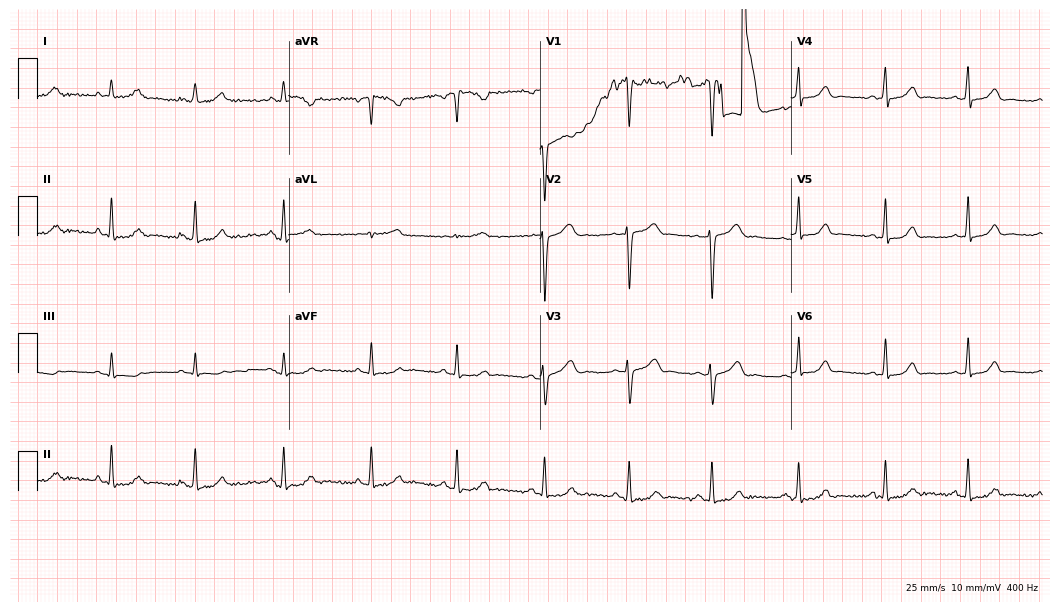
12-lead ECG from a woman, 30 years old. Screened for six findings — first-degree AV block, right bundle branch block, left bundle branch block, sinus bradycardia, atrial fibrillation, sinus tachycardia — none is recorded.